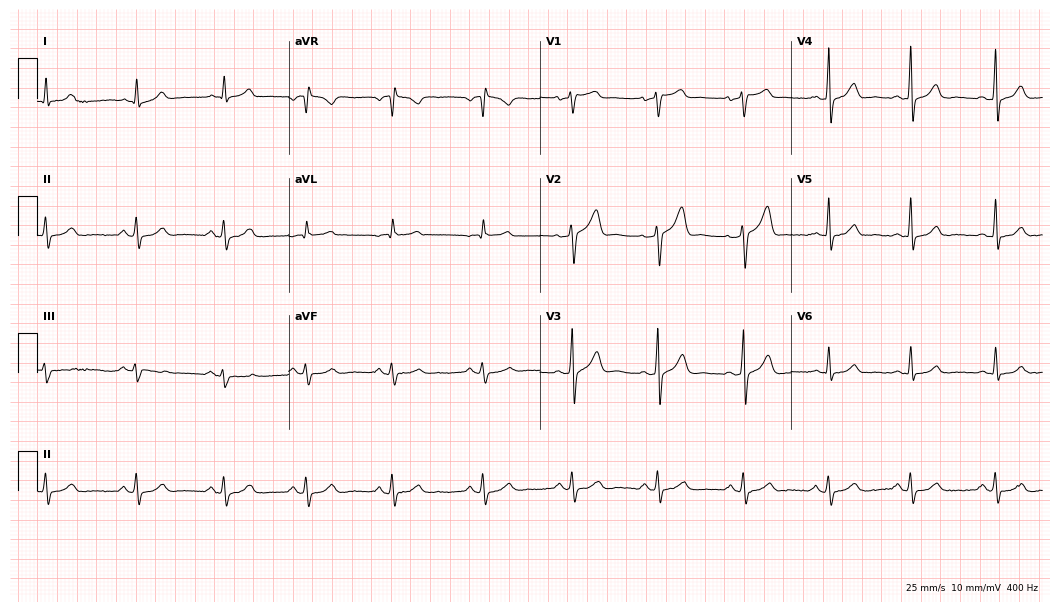
Standard 12-lead ECG recorded from a 45-year-old male. Read as a normal ECG.